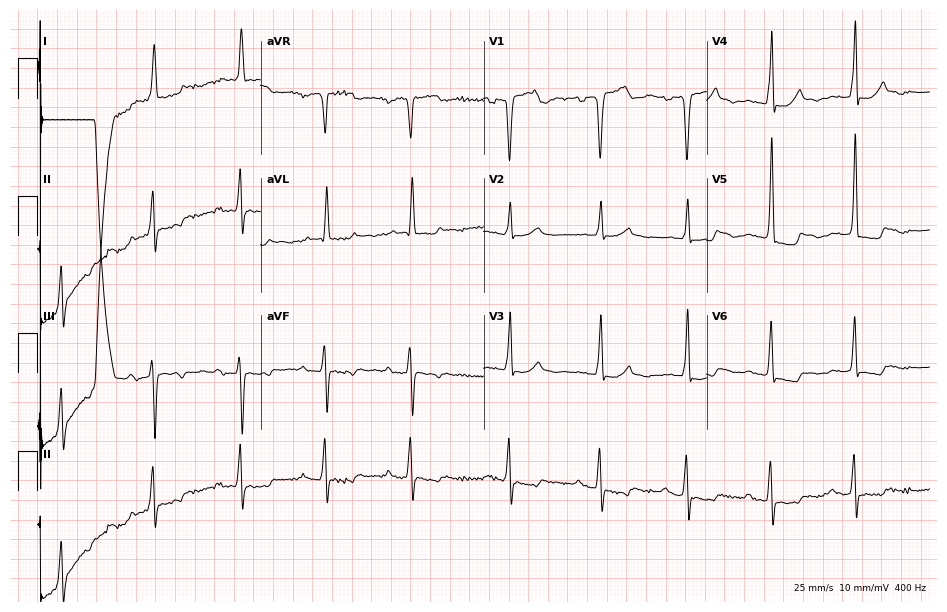
Resting 12-lead electrocardiogram (9.1-second recording at 400 Hz). Patient: an 83-year-old female. The tracing shows first-degree AV block.